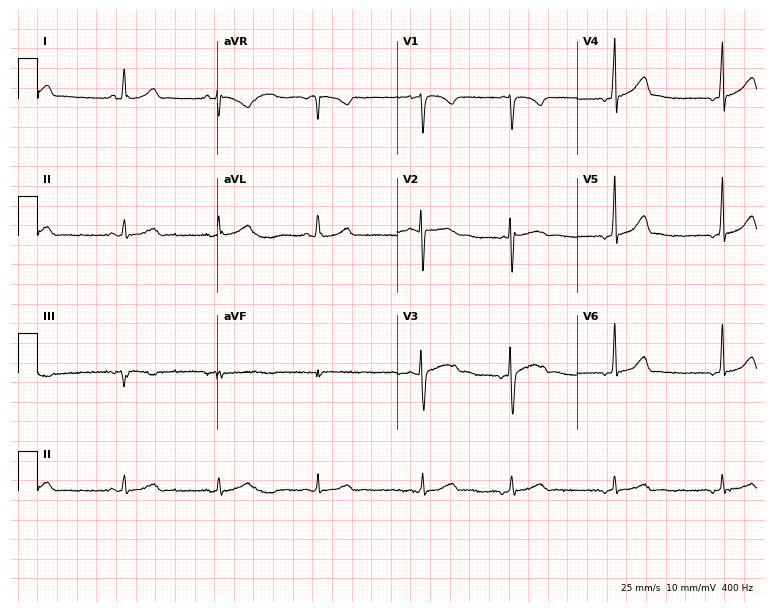
Resting 12-lead electrocardiogram. Patient: a 19-year-old woman. None of these six findings is recorded: first-degree AV block, right bundle branch block, left bundle branch block, sinus bradycardia, atrial fibrillation, sinus tachycardia.